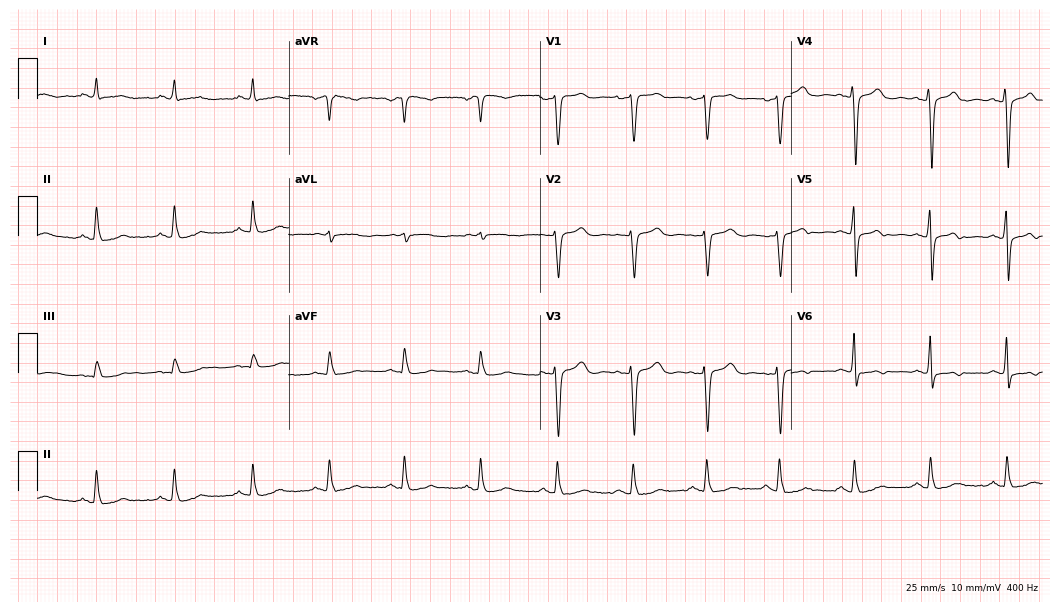
12-lead ECG from a female patient, 56 years old (10.2-second recording at 400 Hz). No first-degree AV block, right bundle branch block (RBBB), left bundle branch block (LBBB), sinus bradycardia, atrial fibrillation (AF) or sinus tachycardia recorded for this tracing.